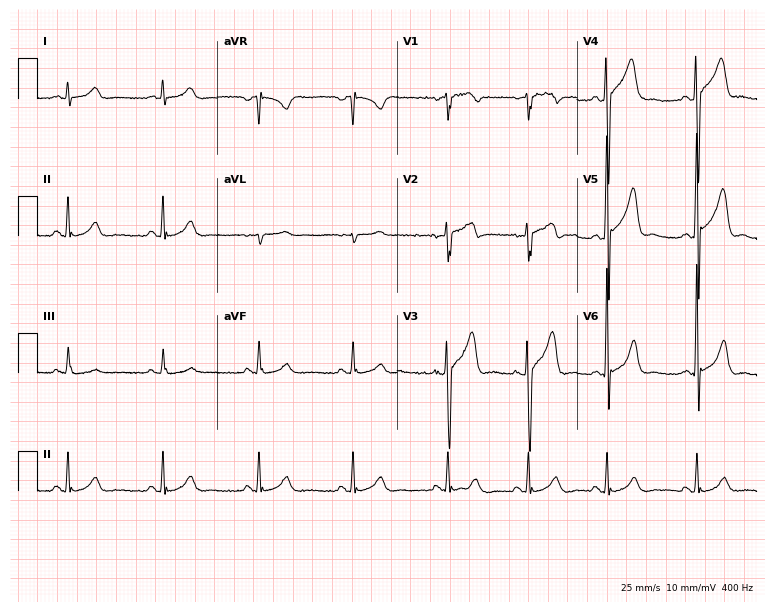
Resting 12-lead electrocardiogram. Patient: a man, 26 years old. None of these six findings is recorded: first-degree AV block, right bundle branch block, left bundle branch block, sinus bradycardia, atrial fibrillation, sinus tachycardia.